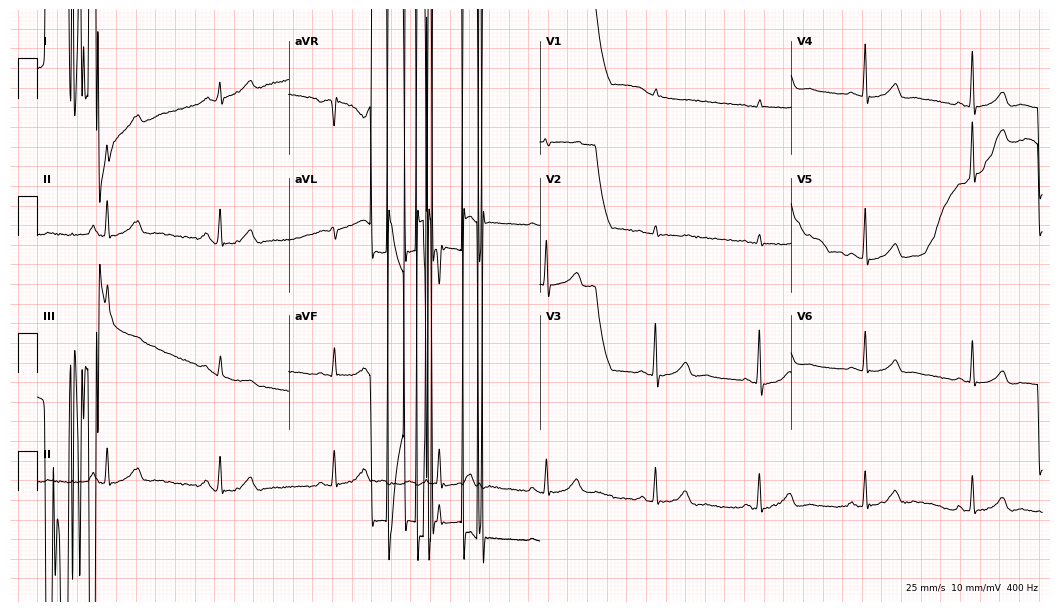
Resting 12-lead electrocardiogram. Patient: a woman, 56 years old. None of these six findings is recorded: first-degree AV block, right bundle branch block, left bundle branch block, sinus bradycardia, atrial fibrillation, sinus tachycardia.